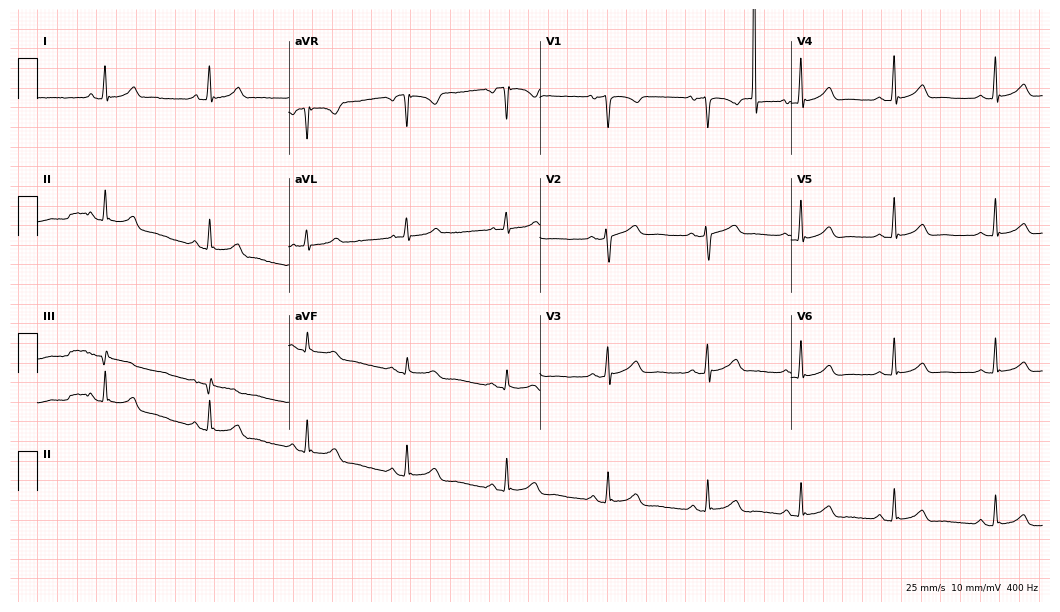
12-lead ECG from a 46-year-old female patient. Recorded interpretation: within normal limits.